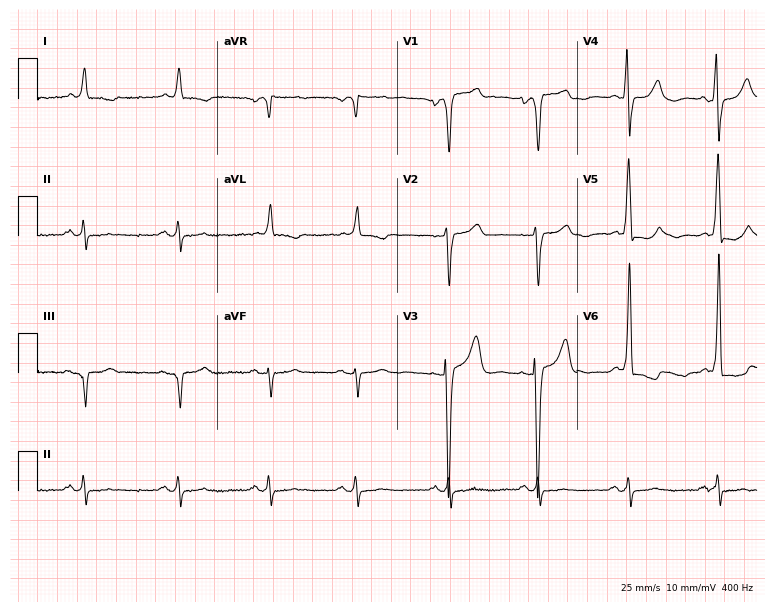
ECG — a male patient, 82 years old. Screened for six findings — first-degree AV block, right bundle branch block, left bundle branch block, sinus bradycardia, atrial fibrillation, sinus tachycardia — none is recorded.